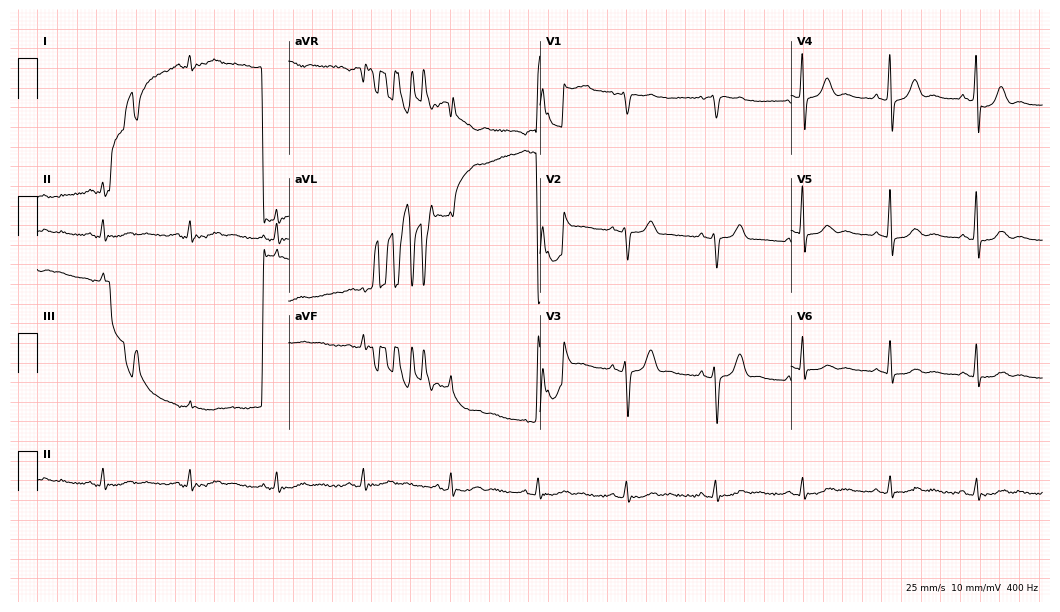
12-lead ECG from a male patient, 57 years old. No first-degree AV block, right bundle branch block, left bundle branch block, sinus bradycardia, atrial fibrillation or sinus tachycardia recorded for this tracing.